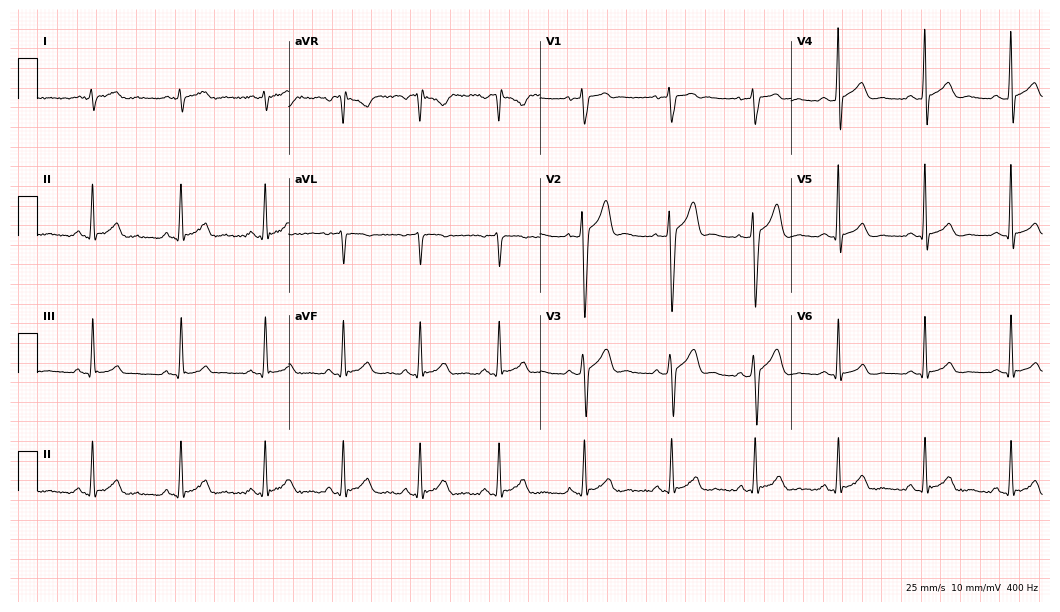
Standard 12-lead ECG recorded from a man, 25 years old. None of these six findings is recorded: first-degree AV block, right bundle branch block, left bundle branch block, sinus bradycardia, atrial fibrillation, sinus tachycardia. Other findings, if any, are not listed.